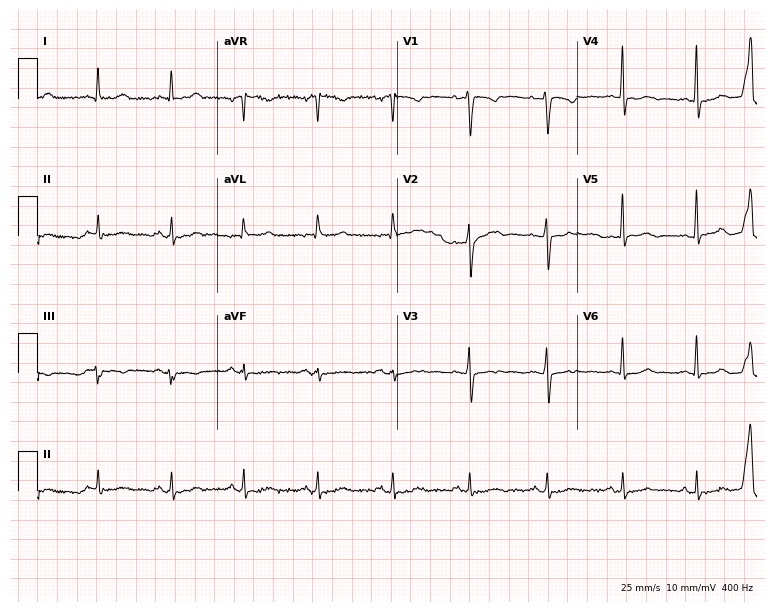
Resting 12-lead electrocardiogram (7.3-second recording at 400 Hz). Patient: a female, 47 years old. None of these six findings is recorded: first-degree AV block, right bundle branch block, left bundle branch block, sinus bradycardia, atrial fibrillation, sinus tachycardia. Only these six findings were labelled.